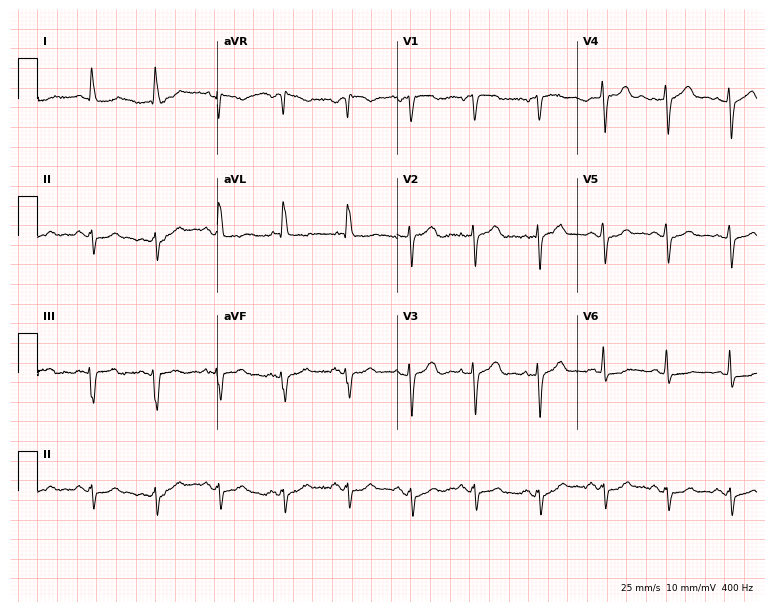
ECG (7.3-second recording at 400 Hz) — a female, 84 years old. Screened for six findings — first-degree AV block, right bundle branch block, left bundle branch block, sinus bradycardia, atrial fibrillation, sinus tachycardia — none is recorded. Findings outside these six are not listed.